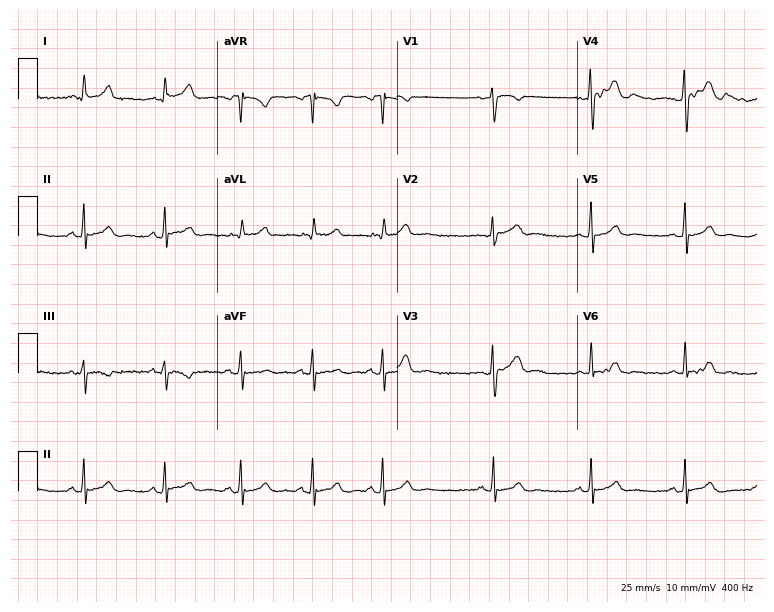
12-lead ECG from a 21-year-old female. Screened for six findings — first-degree AV block, right bundle branch block, left bundle branch block, sinus bradycardia, atrial fibrillation, sinus tachycardia — none is recorded.